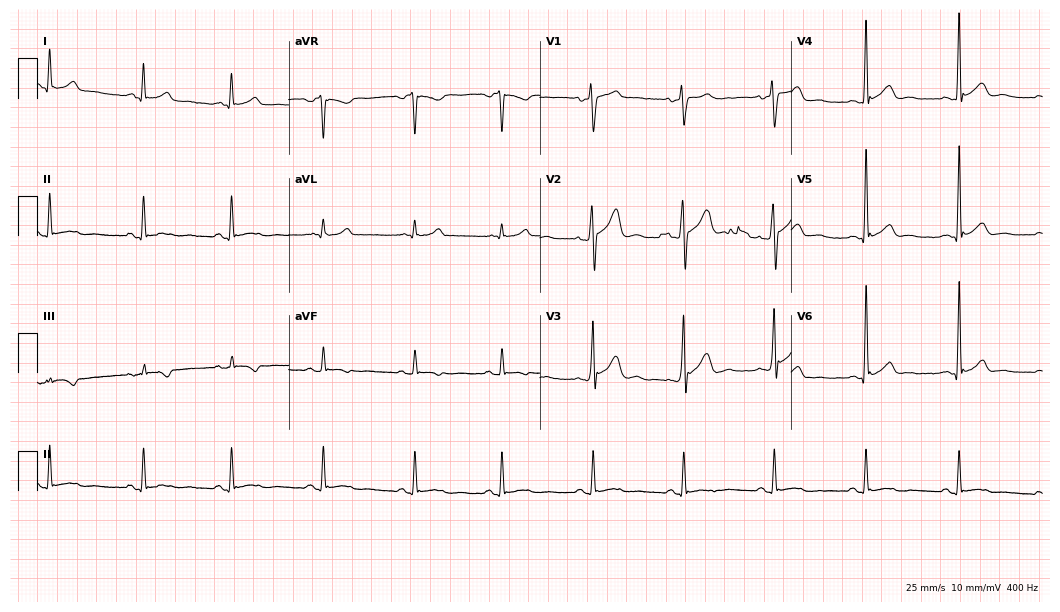
Electrocardiogram, a male patient, 34 years old. Overall reading on record: normal ECG.